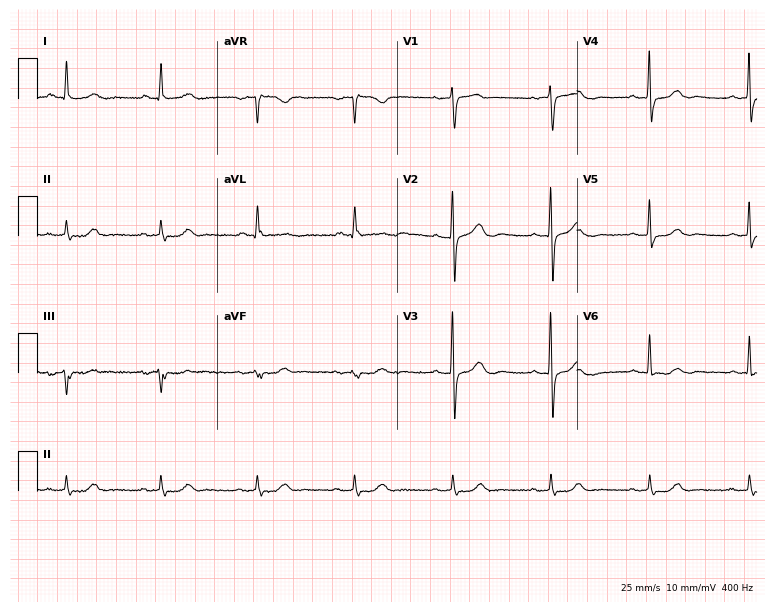
12-lead ECG from a man, 81 years old (7.3-second recording at 400 Hz). No first-degree AV block, right bundle branch block, left bundle branch block, sinus bradycardia, atrial fibrillation or sinus tachycardia recorded for this tracing.